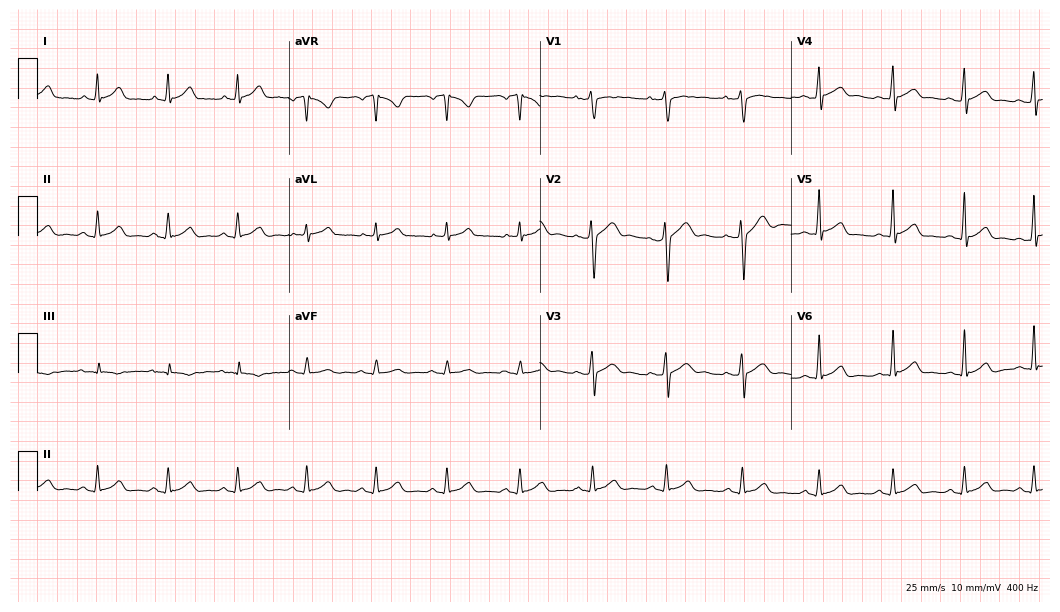
12-lead ECG from a 24-year-old male. Labelled as a normal ECG.